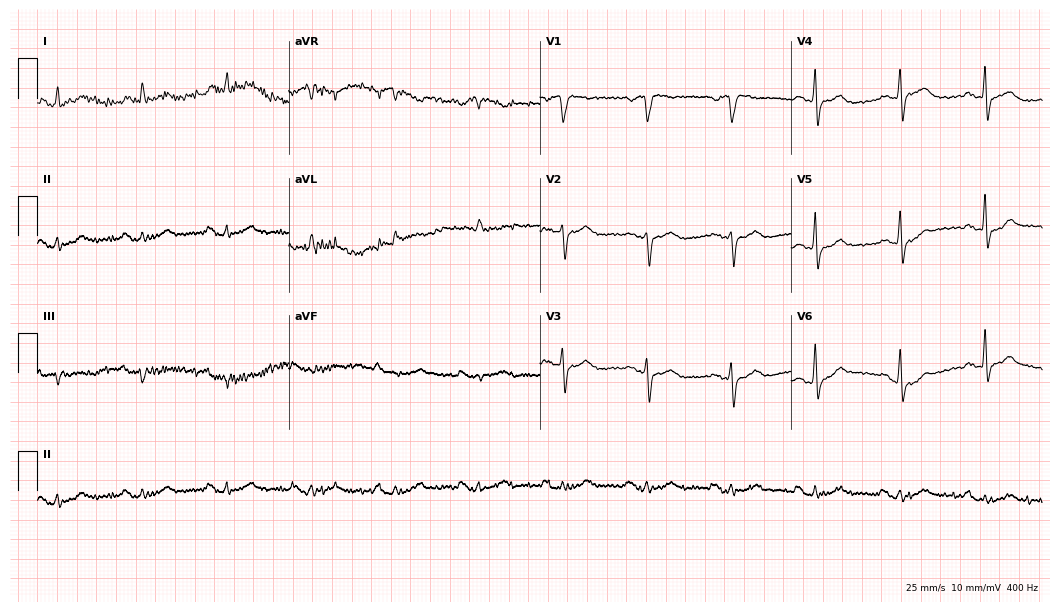
Electrocardiogram, a male patient, 82 years old. Of the six screened findings (first-degree AV block, right bundle branch block, left bundle branch block, sinus bradycardia, atrial fibrillation, sinus tachycardia), none is recorded.